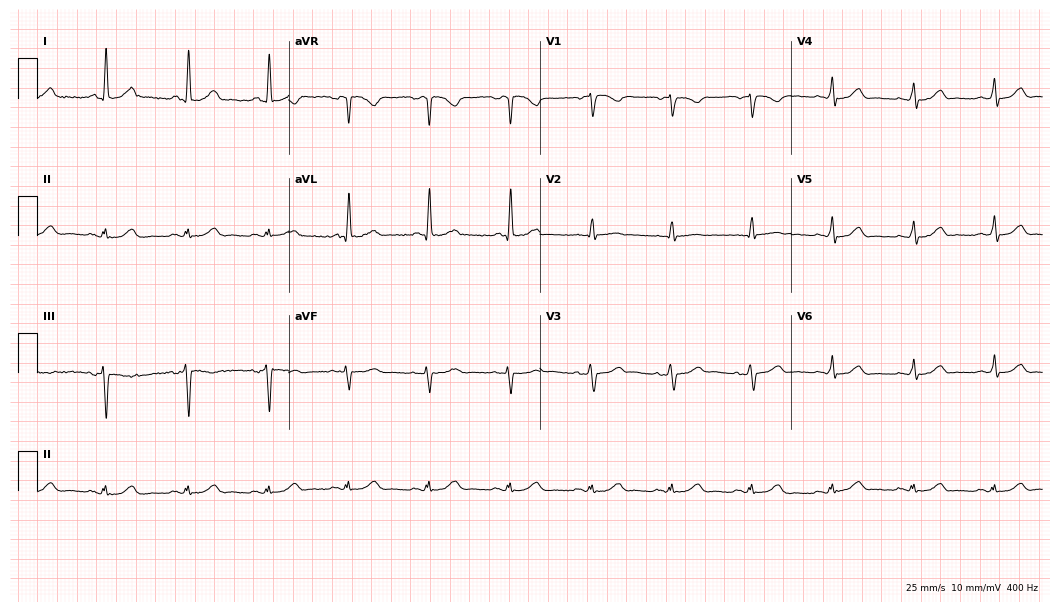
Electrocardiogram, a female, 59 years old. Overall reading on record: normal ECG.